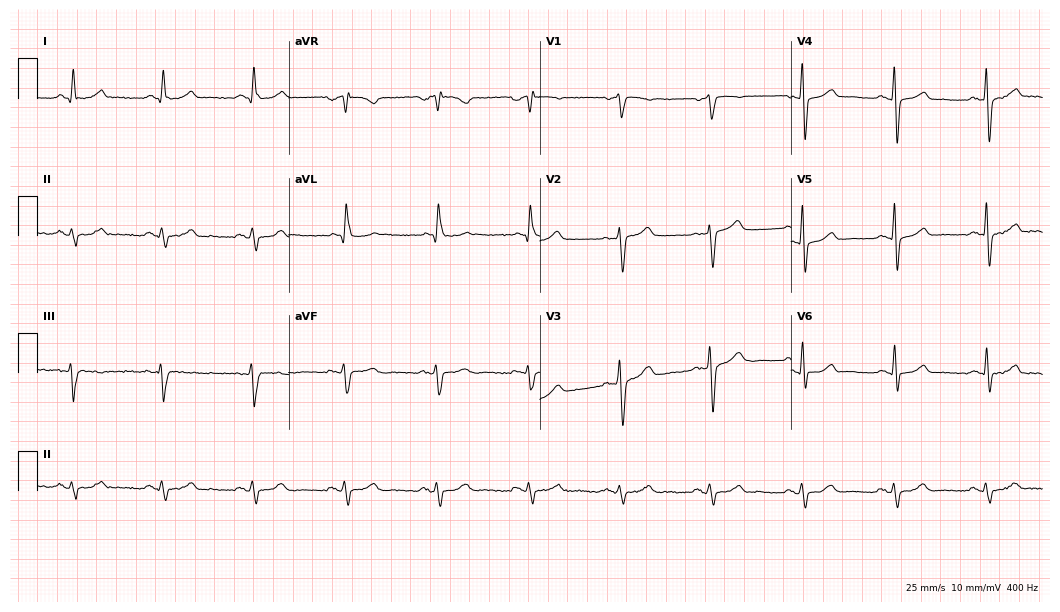
ECG — a male, 69 years old. Screened for six findings — first-degree AV block, right bundle branch block, left bundle branch block, sinus bradycardia, atrial fibrillation, sinus tachycardia — none is recorded. Only these six findings were labelled.